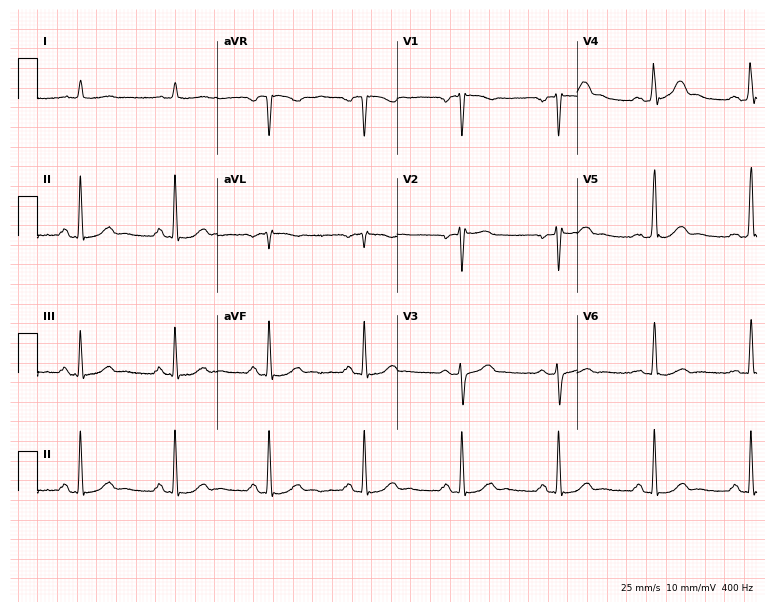
ECG (7.3-second recording at 400 Hz) — a 59-year-old male patient. Screened for six findings — first-degree AV block, right bundle branch block, left bundle branch block, sinus bradycardia, atrial fibrillation, sinus tachycardia — none is recorded. Findings outside these six are not listed.